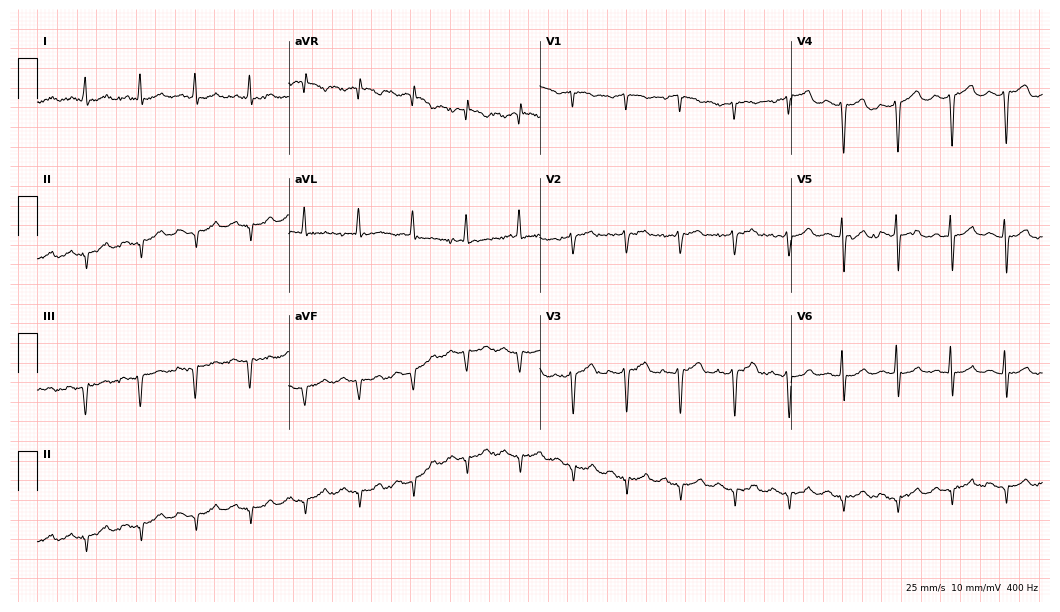
12-lead ECG (10.2-second recording at 400 Hz) from a male, 70 years old. Screened for six findings — first-degree AV block, right bundle branch block, left bundle branch block, sinus bradycardia, atrial fibrillation, sinus tachycardia — none is recorded. Findings outside these six are not listed.